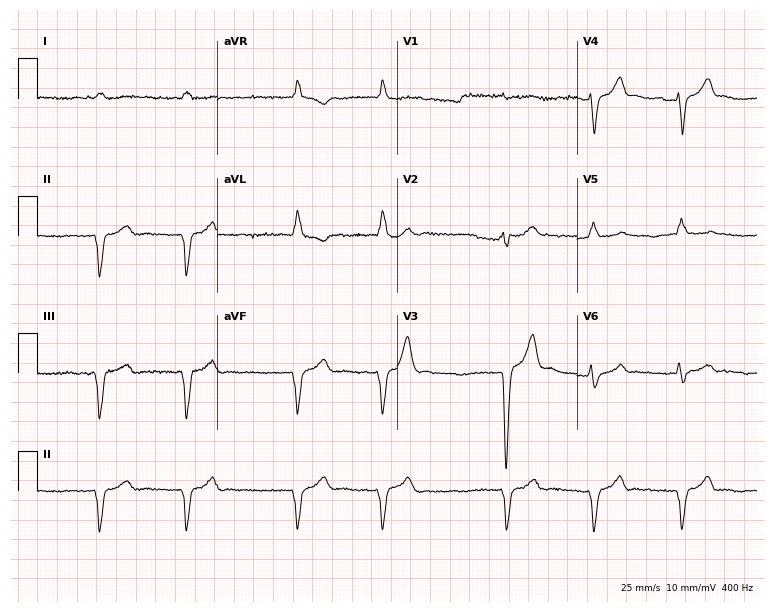
Standard 12-lead ECG recorded from a male, 64 years old (7.3-second recording at 400 Hz). The tracing shows left bundle branch block (LBBB), atrial fibrillation (AF).